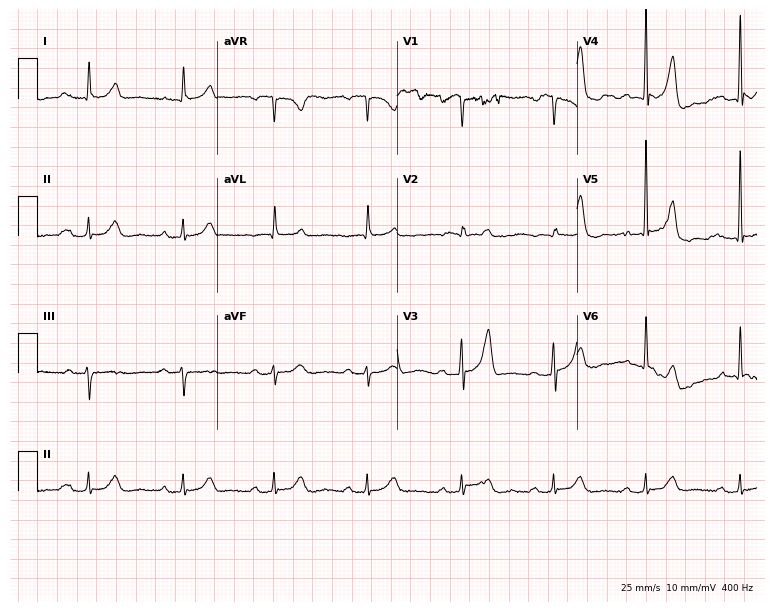
12-lead ECG from a 67-year-old man. Labelled as a normal ECG.